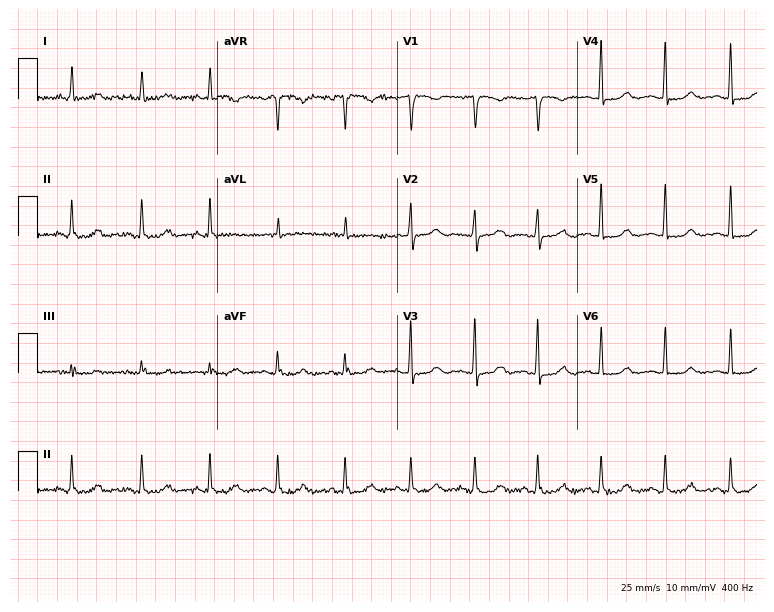
Standard 12-lead ECG recorded from a 70-year-old woman. Read as a normal ECG.